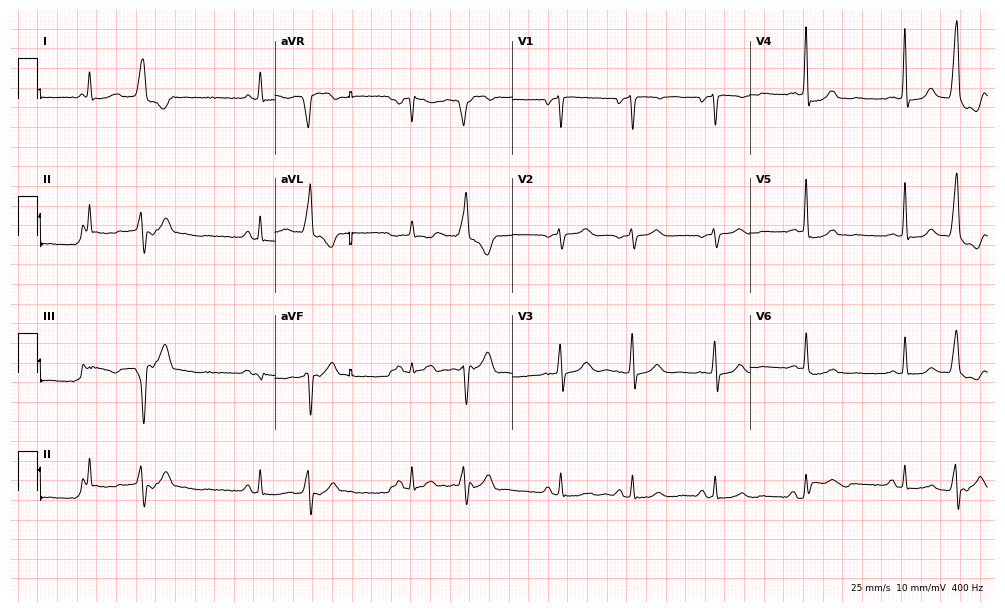
Standard 12-lead ECG recorded from a 75-year-old male. None of these six findings is recorded: first-degree AV block, right bundle branch block (RBBB), left bundle branch block (LBBB), sinus bradycardia, atrial fibrillation (AF), sinus tachycardia. Only these six findings were labelled.